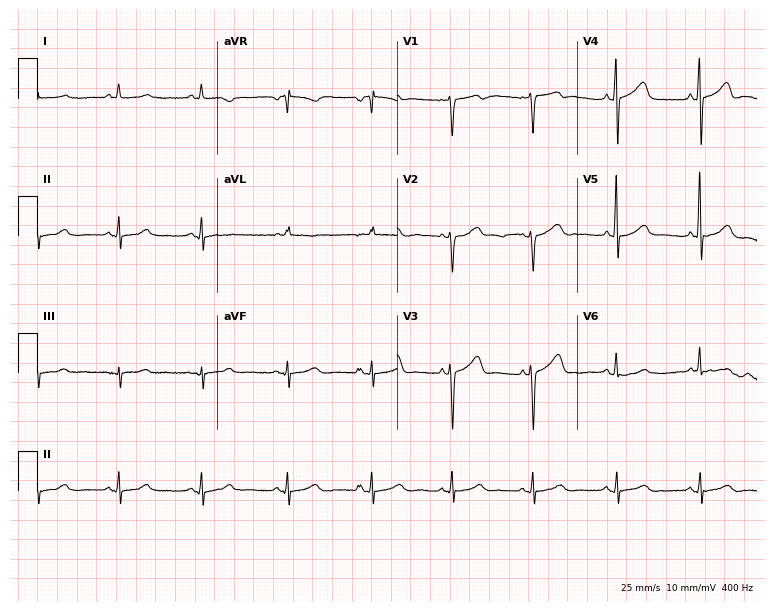
Standard 12-lead ECG recorded from a female, 76 years old (7.3-second recording at 400 Hz). Read as a normal ECG.